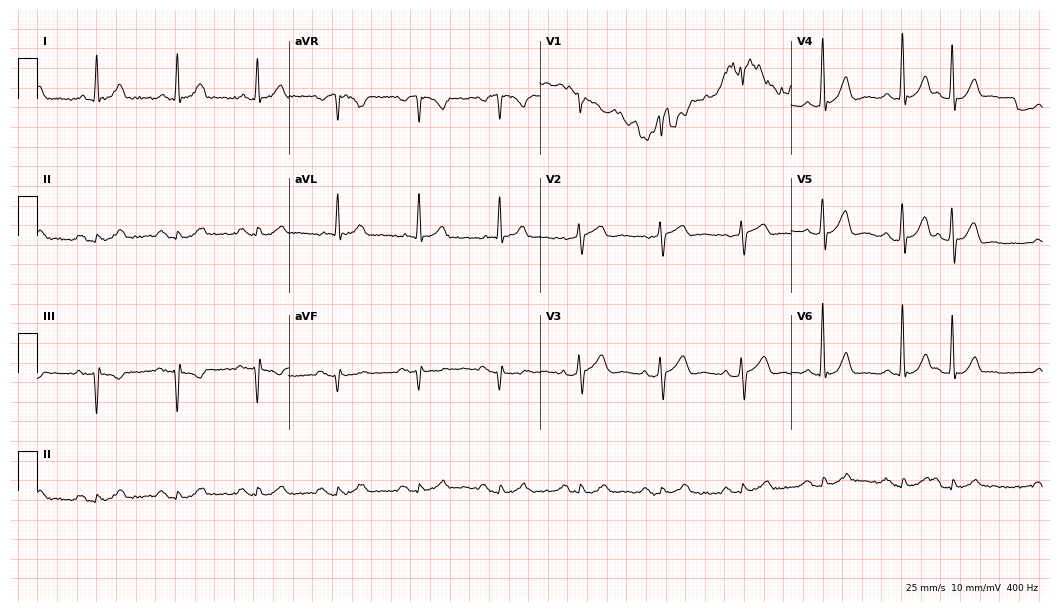
Standard 12-lead ECG recorded from an 83-year-old man (10.2-second recording at 400 Hz). Read as a normal ECG.